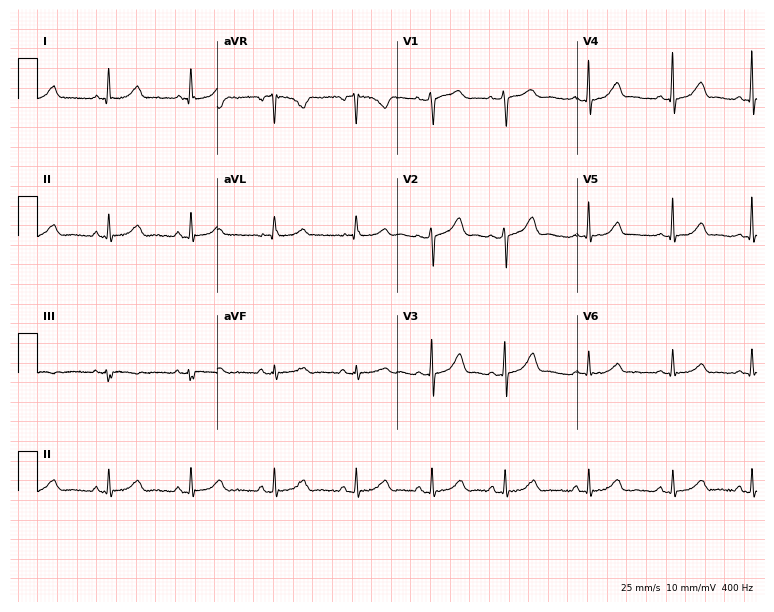
ECG (7.3-second recording at 400 Hz) — a woman, 52 years old. Screened for six findings — first-degree AV block, right bundle branch block (RBBB), left bundle branch block (LBBB), sinus bradycardia, atrial fibrillation (AF), sinus tachycardia — none is recorded. Other findings, if any, are not listed.